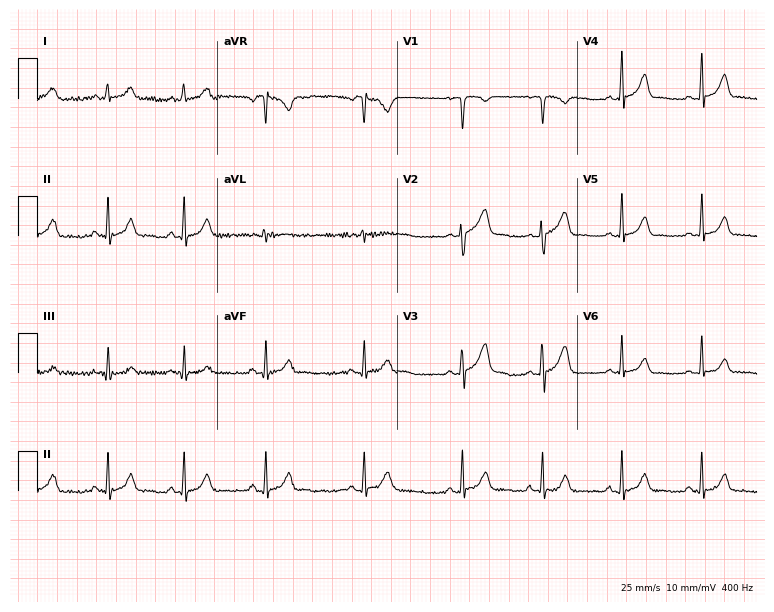
Resting 12-lead electrocardiogram (7.3-second recording at 400 Hz). Patient: a 25-year-old woman. Read as a normal ECG.